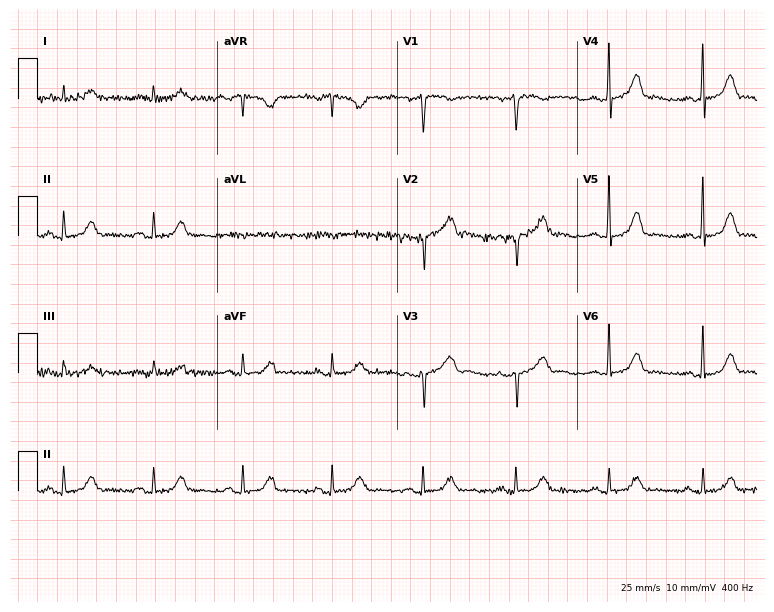
Electrocardiogram, a 74-year-old female patient. Overall reading on record: normal ECG.